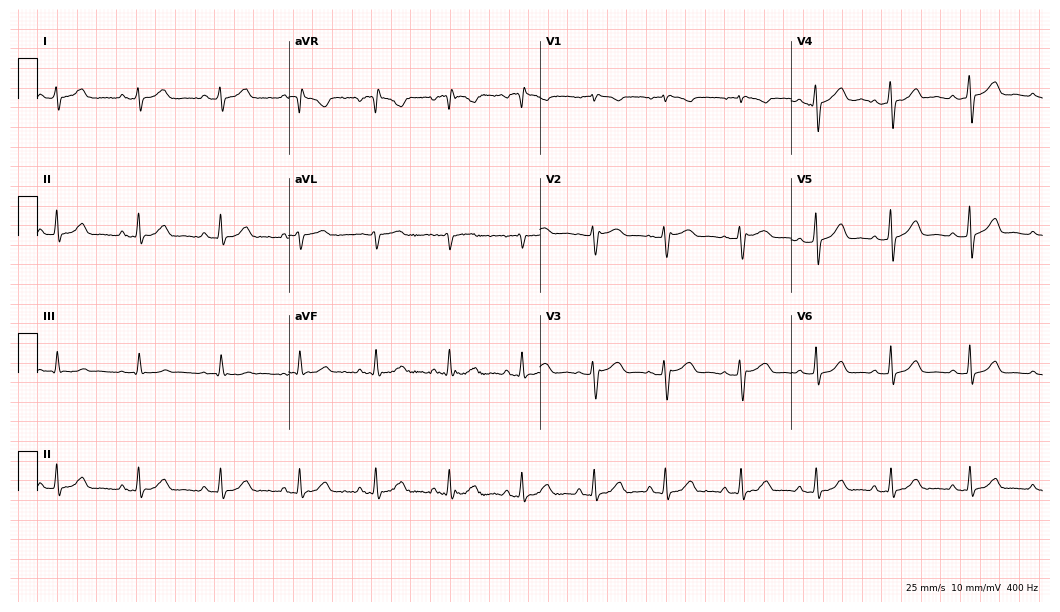
Electrocardiogram, a 54-year-old woman. Overall reading on record: normal ECG.